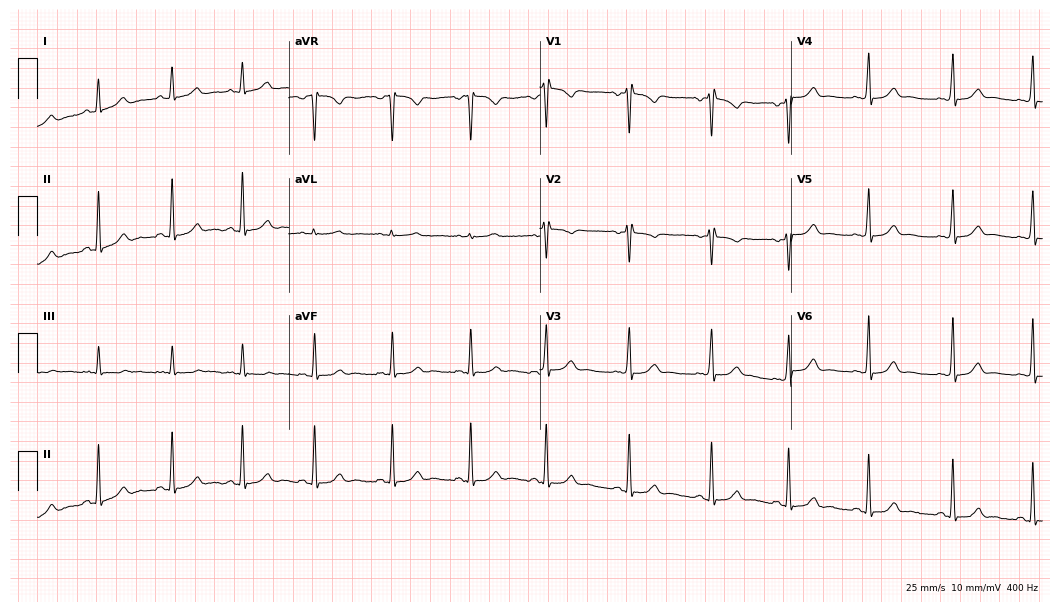
12-lead ECG from a female patient, 19 years old (10.2-second recording at 400 Hz). No first-degree AV block, right bundle branch block (RBBB), left bundle branch block (LBBB), sinus bradycardia, atrial fibrillation (AF) or sinus tachycardia recorded for this tracing.